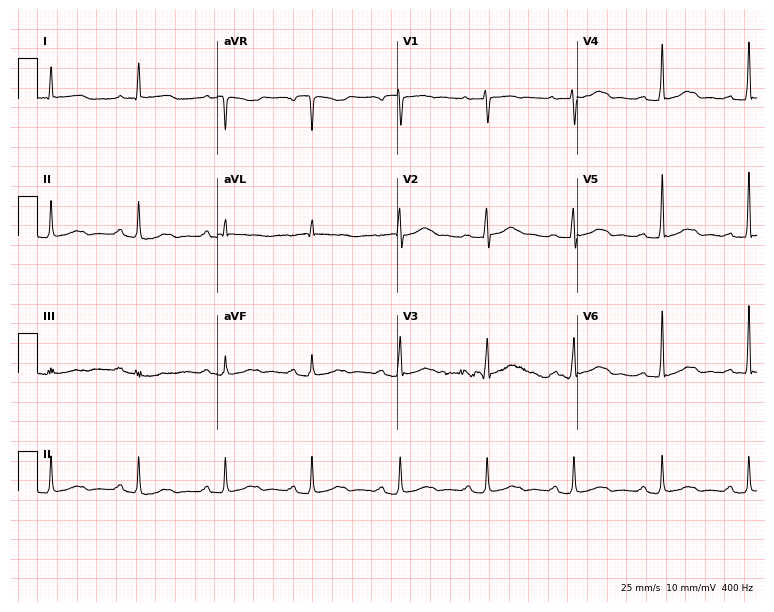
Standard 12-lead ECG recorded from a woman, 34 years old (7.3-second recording at 400 Hz). None of these six findings is recorded: first-degree AV block, right bundle branch block (RBBB), left bundle branch block (LBBB), sinus bradycardia, atrial fibrillation (AF), sinus tachycardia. Only these six findings were labelled.